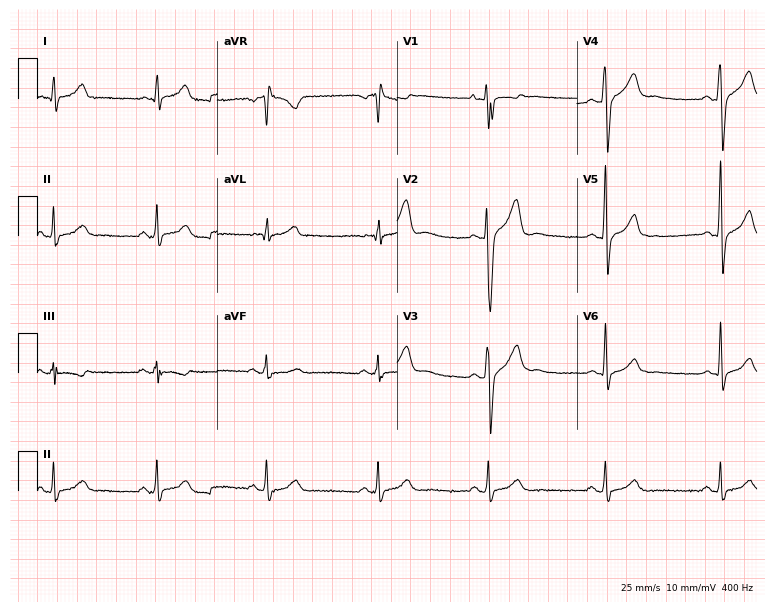
12-lead ECG from a 43-year-old man (7.3-second recording at 400 Hz). No first-degree AV block, right bundle branch block (RBBB), left bundle branch block (LBBB), sinus bradycardia, atrial fibrillation (AF) or sinus tachycardia recorded for this tracing. Other findings, if any, are not listed.